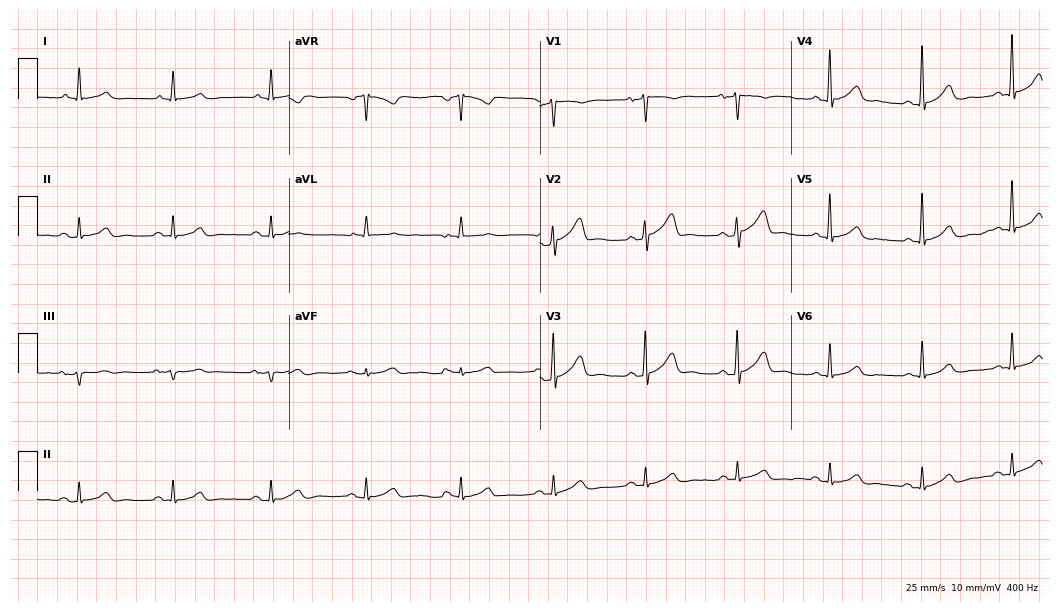
Electrocardiogram, a 73-year-old male patient. Overall reading on record: normal ECG.